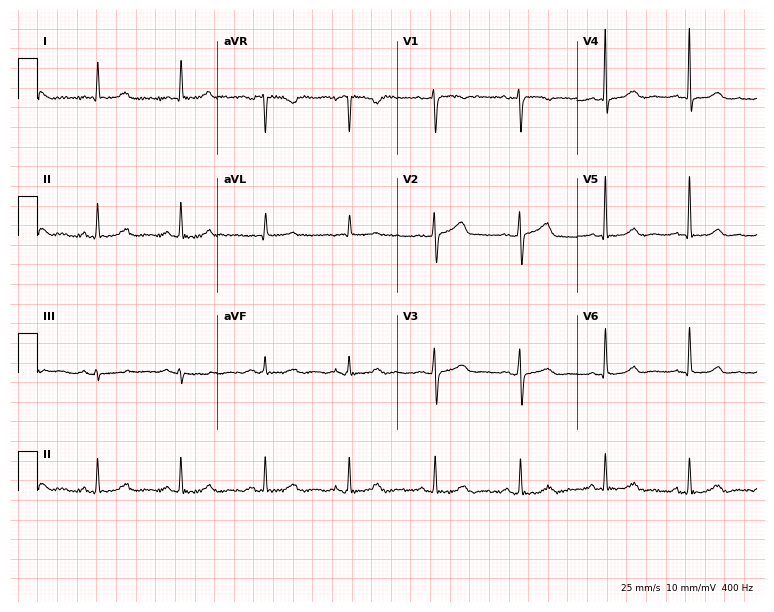
12-lead ECG from a 57-year-old woman (7.3-second recording at 400 Hz). Recorded interpretation: within normal limits.